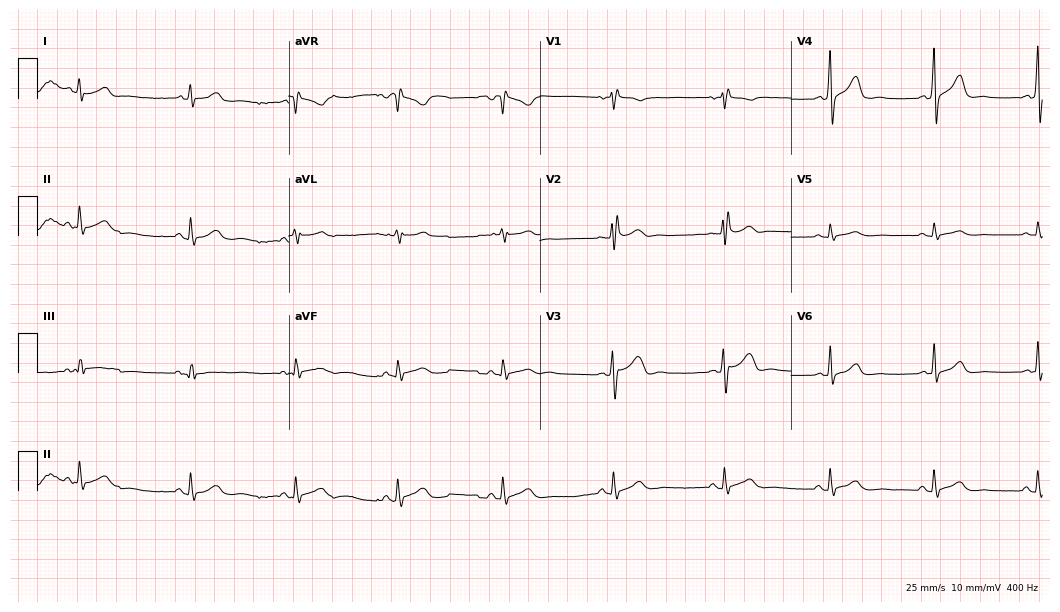
Electrocardiogram (10.2-second recording at 400 Hz), a man, 31 years old. Of the six screened findings (first-degree AV block, right bundle branch block, left bundle branch block, sinus bradycardia, atrial fibrillation, sinus tachycardia), none is recorded. Other findings, if any, are not listed.